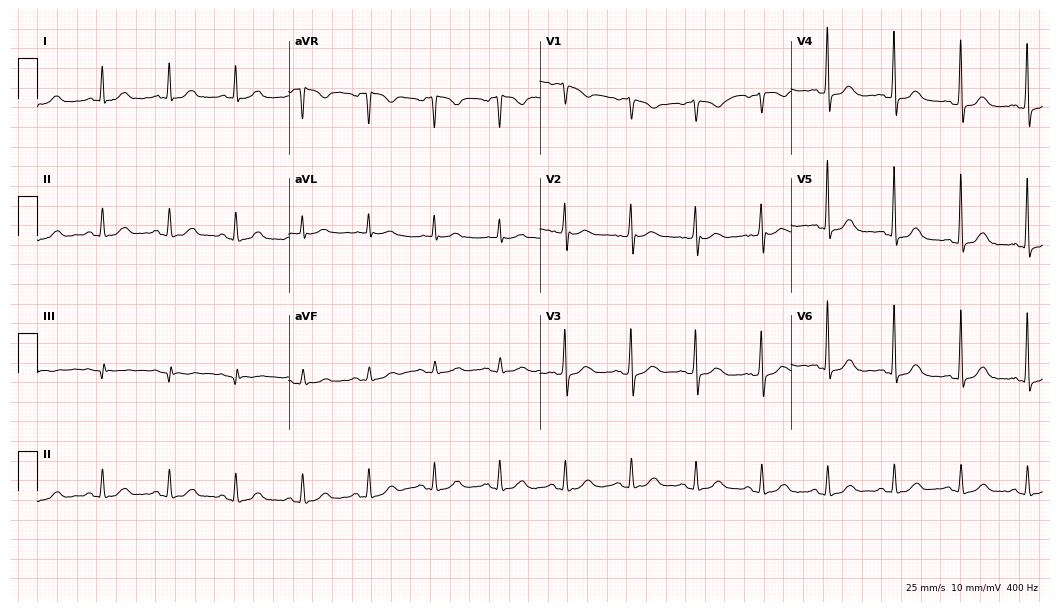
Electrocardiogram, a male patient, 65 years old. Overall reading on record: normal ECG.